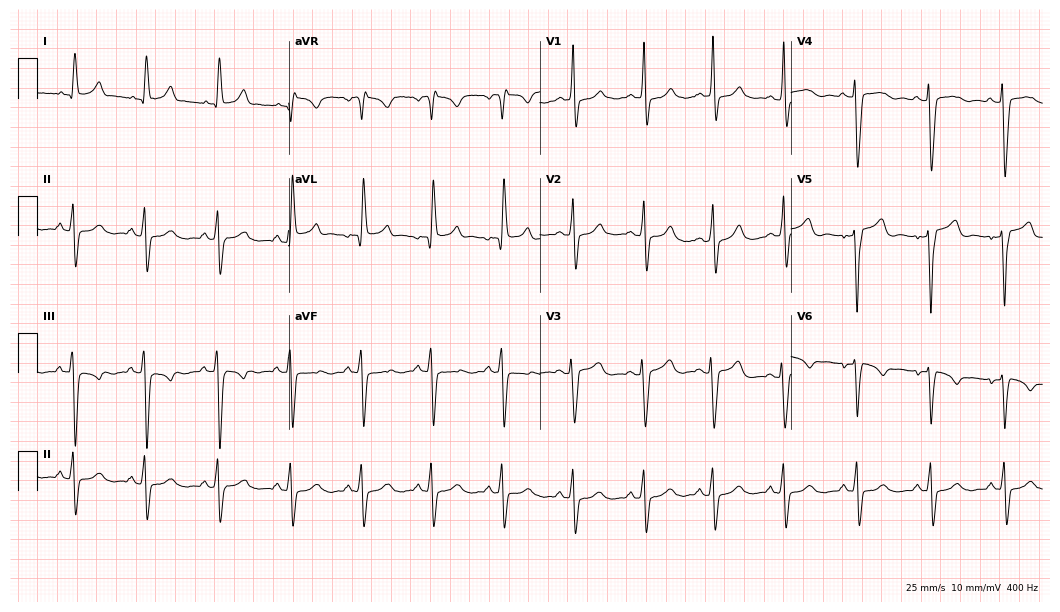
Resting 12-lead electrocardiogram (10.2-second recording at 400 Hz). Patient: a 67-year-old female. None of these six findings is recorded: first-degree AV block, right bundle branch block, left bundle branch block, sinus bradycardia, atrial fibrillation, sinus tachycardia.